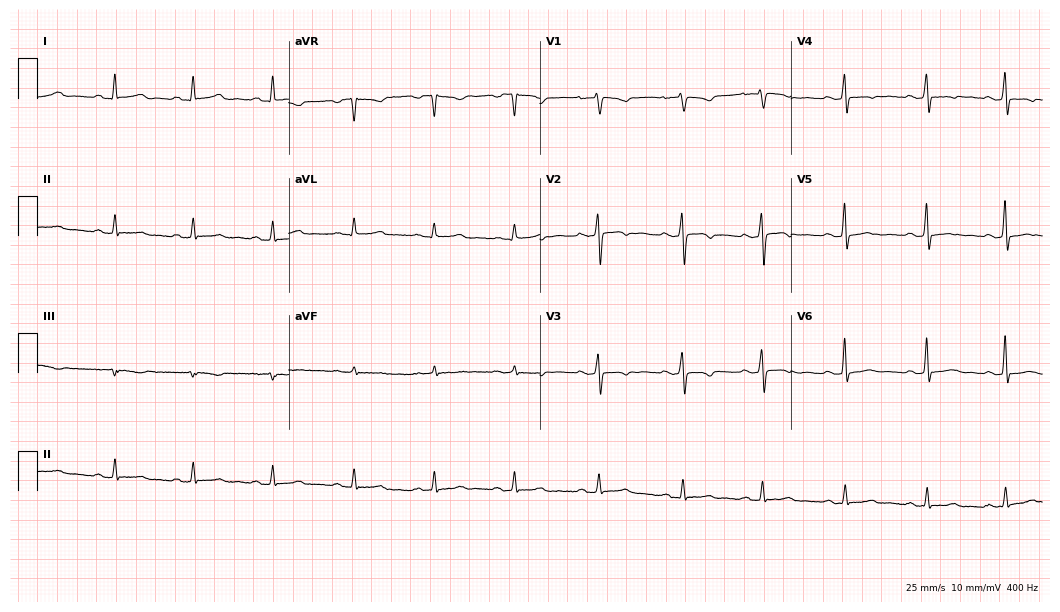
Resting 12-lead electrocardiogram. Patient: a female, 42 years old. None of these six findings is recorded: first-degree AV block, right bundle branch block (RBBB), left bundle branch block (LBBB), sinus bradycardia, atrial fibrillation (AF), sinus tachycardia. Only these six findings were labelled.